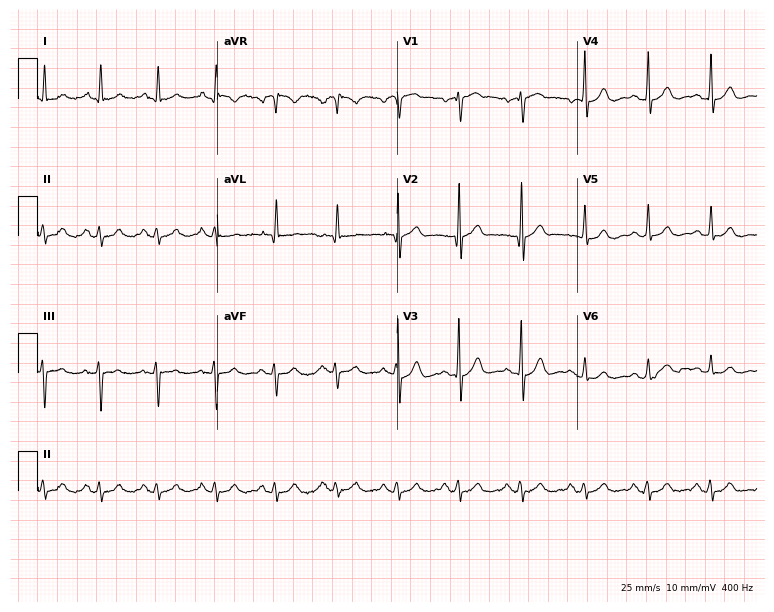
12-lead ECG from a male patient, 63 years old. No first-degree AV block, right bundle branch block, left bundle branch block, sinus bradycardia, atrial fibrillation or sinus tachycardia recorded for this tracing.